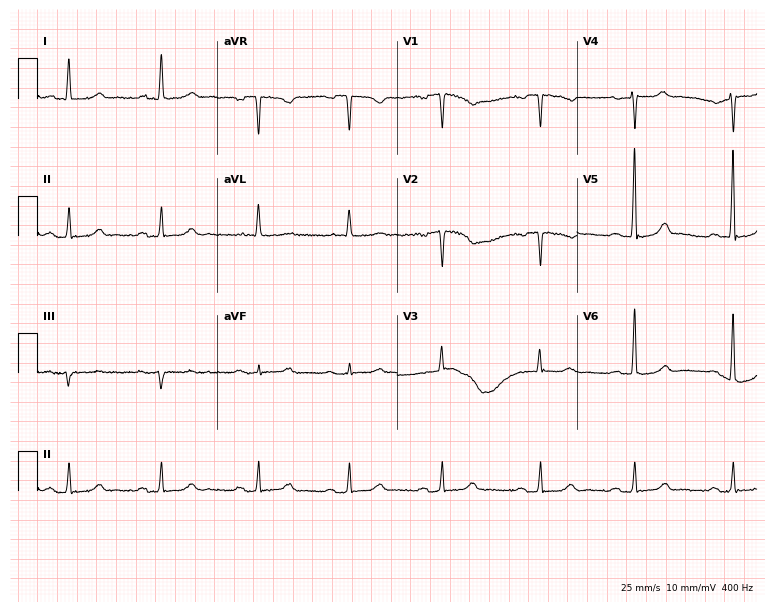
Resting 12-lead electrocardiogram. Patient: a 71-year-old male. Read as a normal ECG.